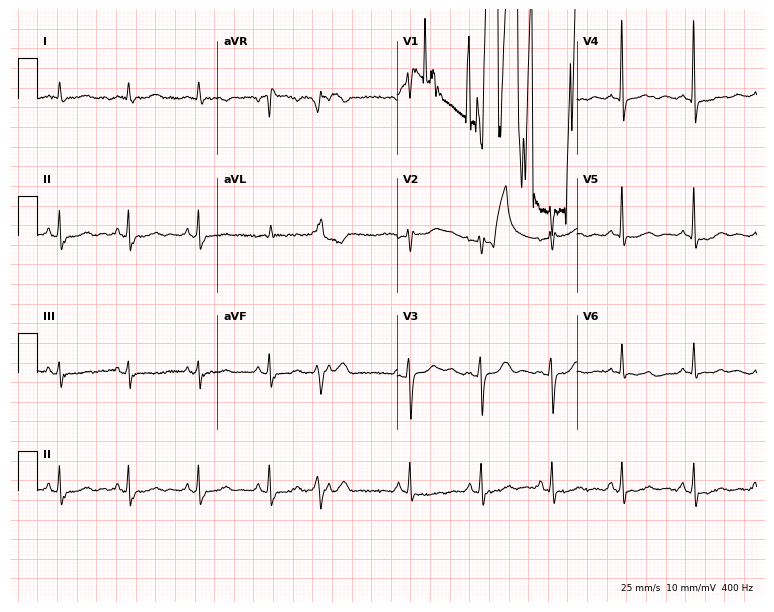
ECG — a female patient, 68 years old. Screened for six findings — first-degree AV block, right bundle branch block, left bundle branch block, sinus bradycardia, atrial fibrillation, sinus tachycardia — none is recorded.